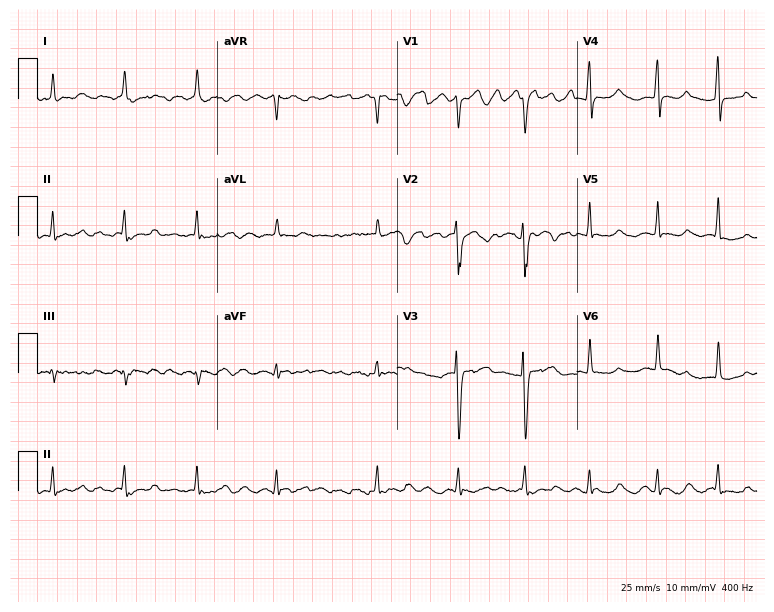
ECG (7.3-second recording at 400 Hz) — a female, 47 years old. Findings include atrial fibrillation.